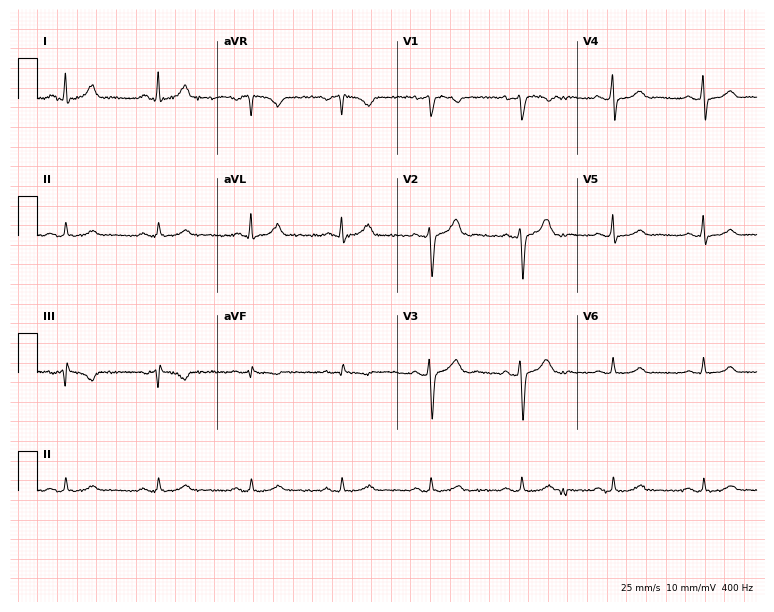
Electrocardiogram (7.3-second recording at 400 Hz), a 52-year-old man. Overall reading on record: normal ECG.